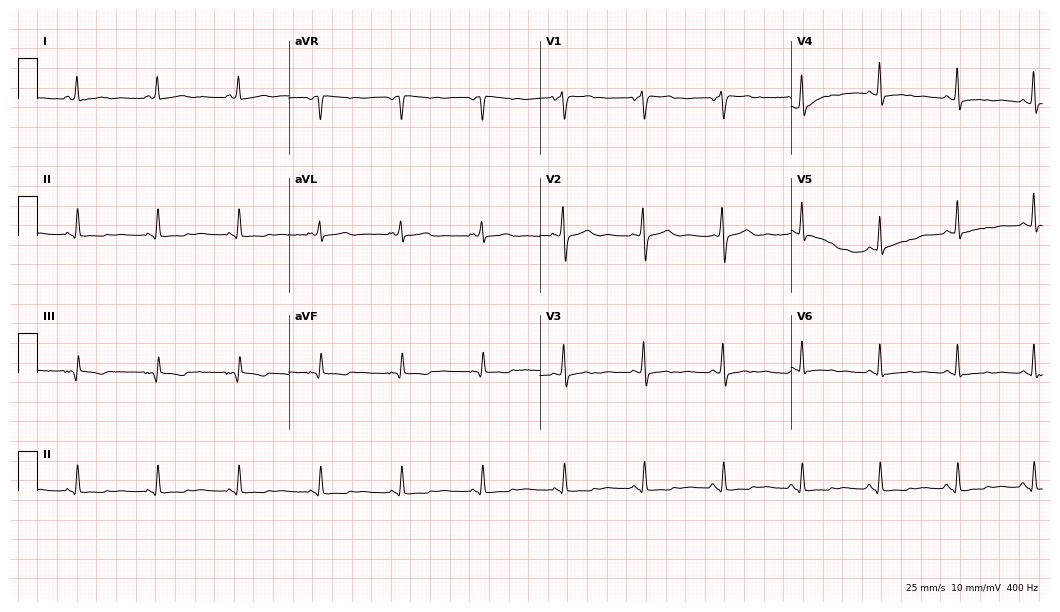
Standard 12-lead ECG recorded from a 17-year-old woman. None of these six findings is recorded: first-degree AV block, right bundle branch block (RBBB), left bundle branch block (LBBB), sinus bradycardia, atrial fibrillation (AF), sinus tachycardia.